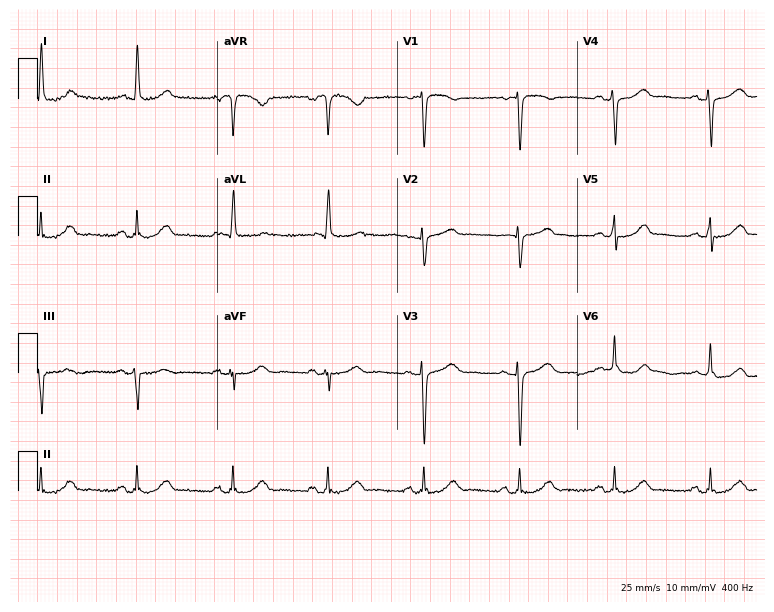
Resting 12-lead electrocardiogram. Patient: a female, 83 years old. Read as a normal ECG.